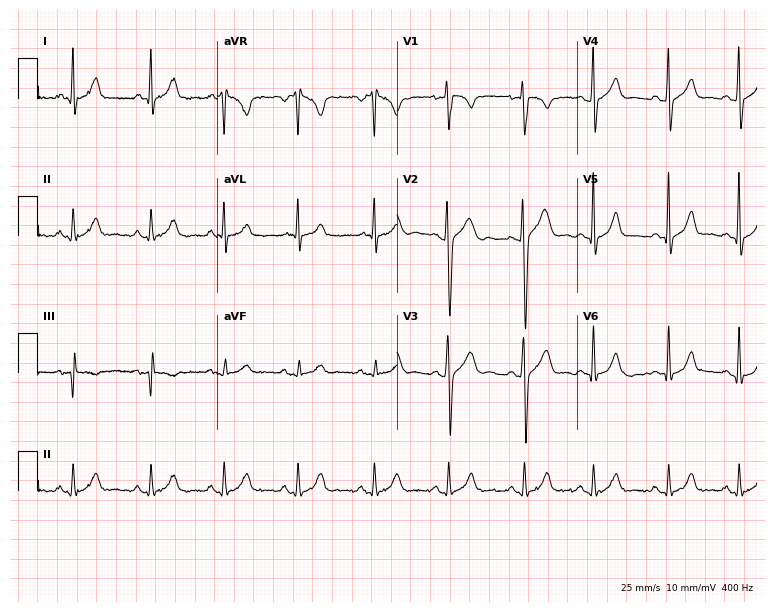
Resting 12-lead electrocardiogram. Patient: a 32-year-old male. None of these six findings is recorded: first-degree AV block, right bundle branch block, left bundle branch block, sinus bradycardia, atrial fibrillation, sinus tachycardia. Other findings, if any, are not listed.